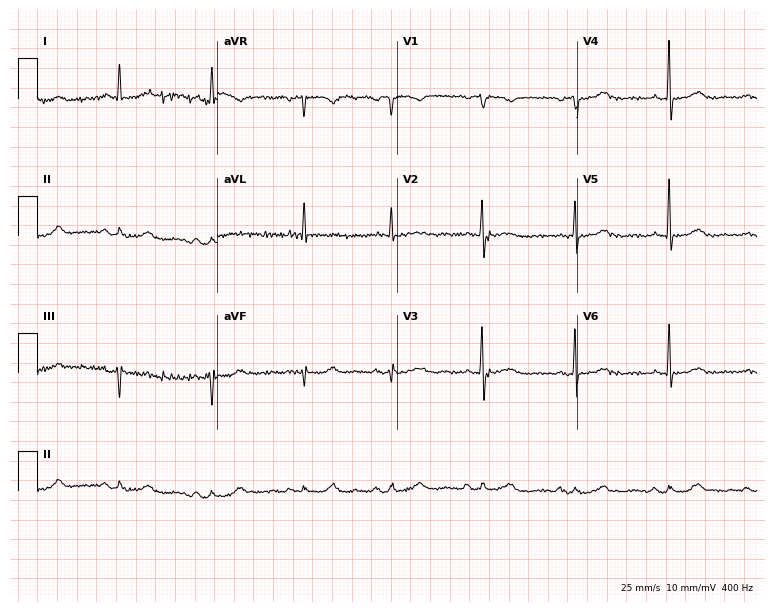
ECG — a female patient, 79 years old. Screened for six findings — first-degree AV block, right bundle branch block (RBBB), left bundle branch block (LBBB), sinus bradycardia, atrial fibrillation (AF), sinus tachycardia — none is recorded. Only these six findings were labelled.